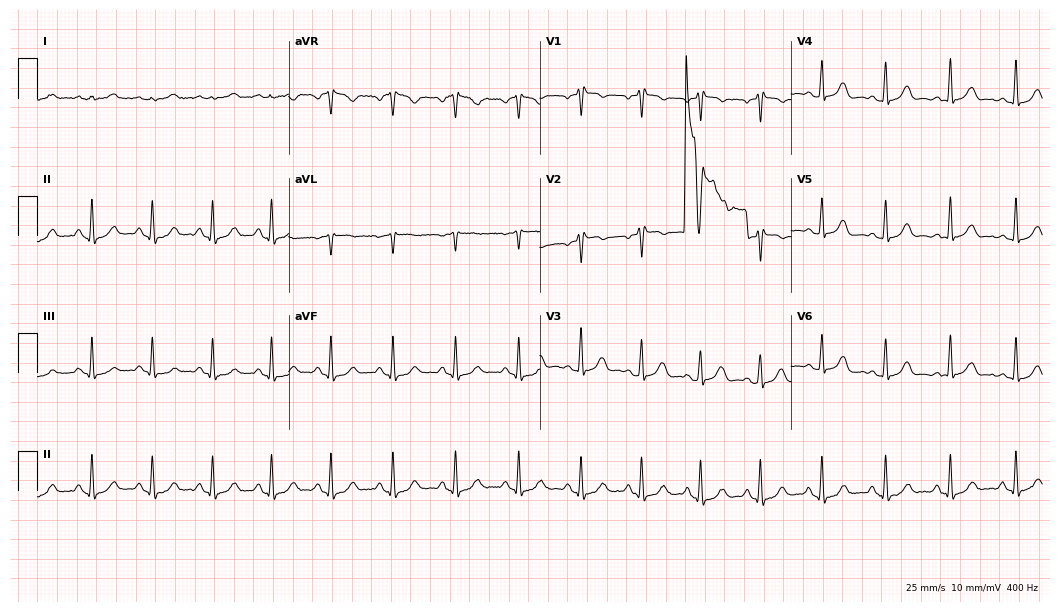
12-lead ECG from a 58-year-old woman (10.2-second recording at 400 Hz). Recorded interpretation: within normal limits.